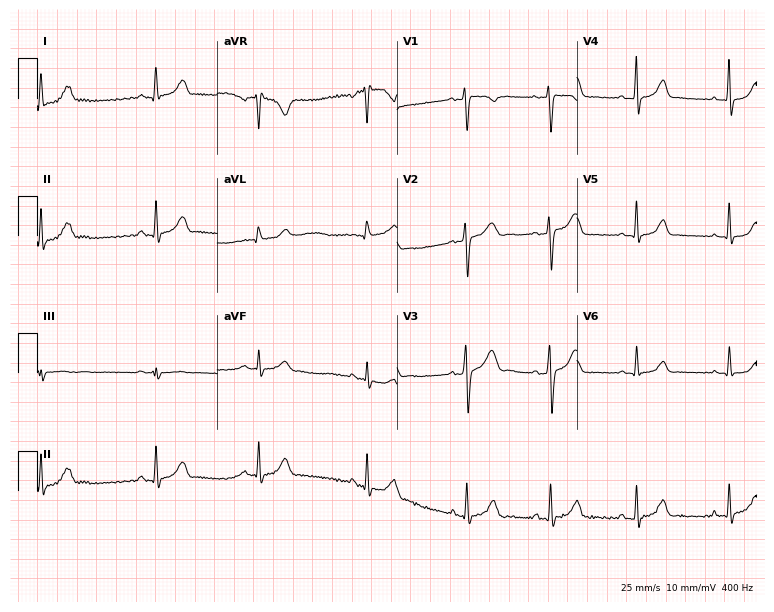
Electrocardiogram (7.3-second recording at 400 Hz), a woman, 33 years old. Of the six screened findings (first-degree AV block, right bundle branch block, left bundle branch block, sinus bradycardia, atrial fibrillation, sinus tachycardia), none is recorded. Other findings, if any, are not listed.